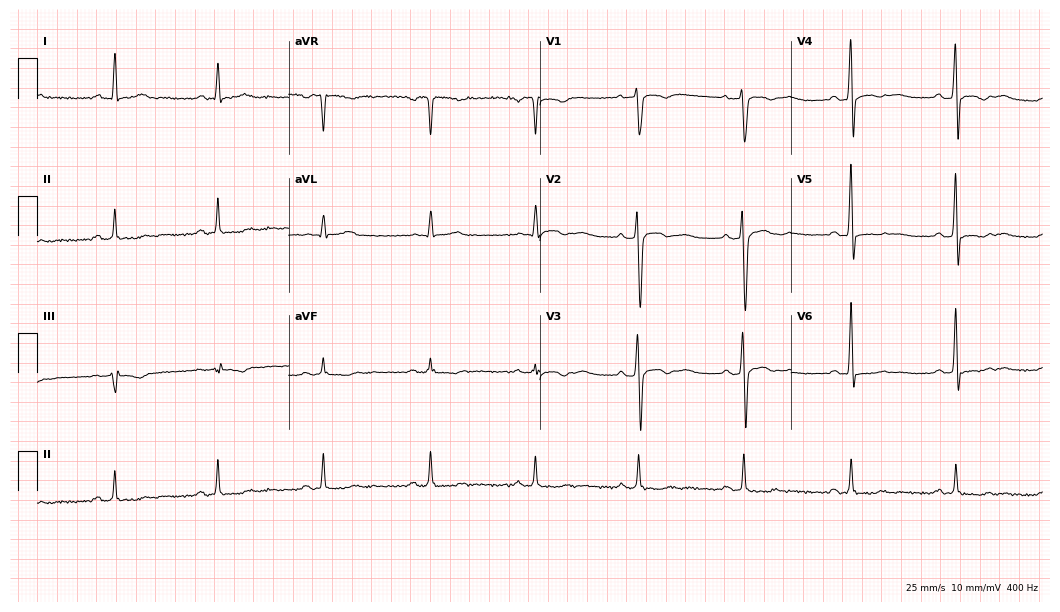
Standard 12-lead ECG recorded from a man, 49 years old. None of these six findings is recorded: first-degree AV block, right bundle branch block (RBBB), left bundle branch block (LBBB), sinus bradycardia, atrial fibrillation (AF), sinus tachycardia.